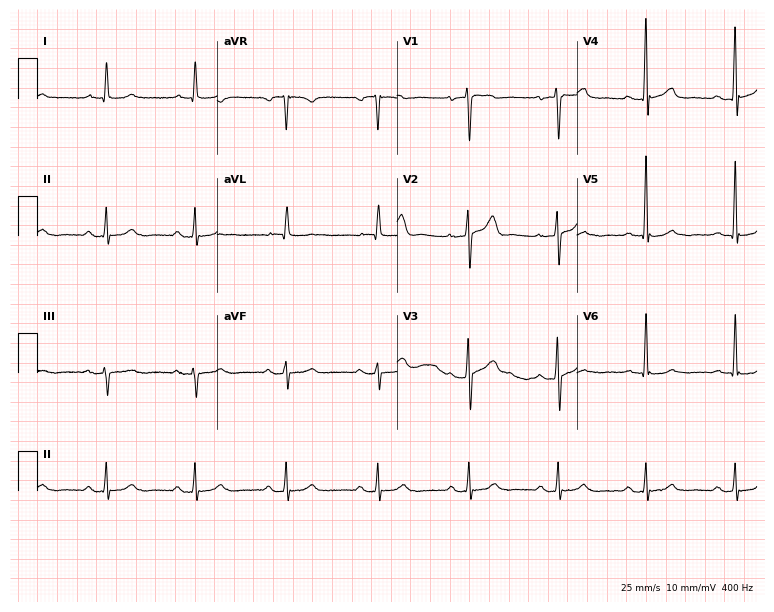
Resting 12-lead electrocardiogram. Patient: a 68-year-old male. Read as a normal ECG.